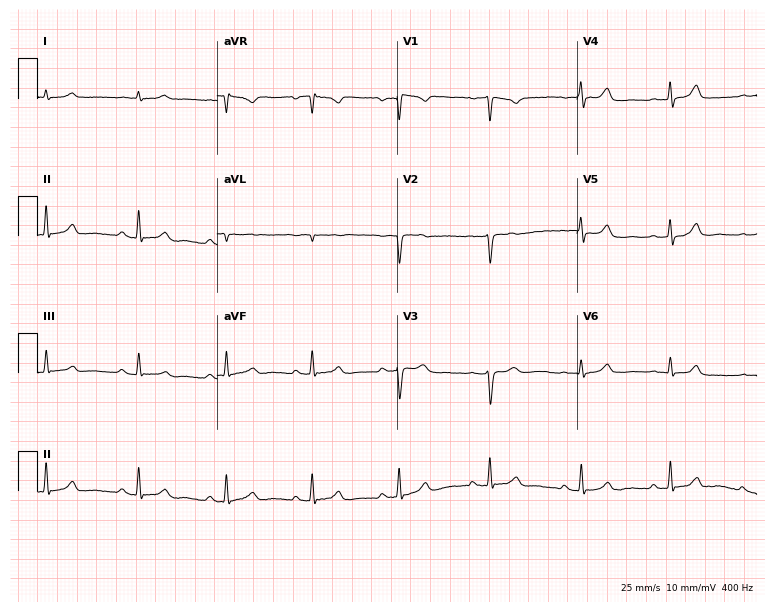
12-lead ECG from a male patient, 33 years old. No first-degree AV block, right bundle branch block (RBBB), left bundle branch block (LBBB), sinus bradycardia, atrial fibrillation (AF) or sinus tachycardia recorded for this tracing.